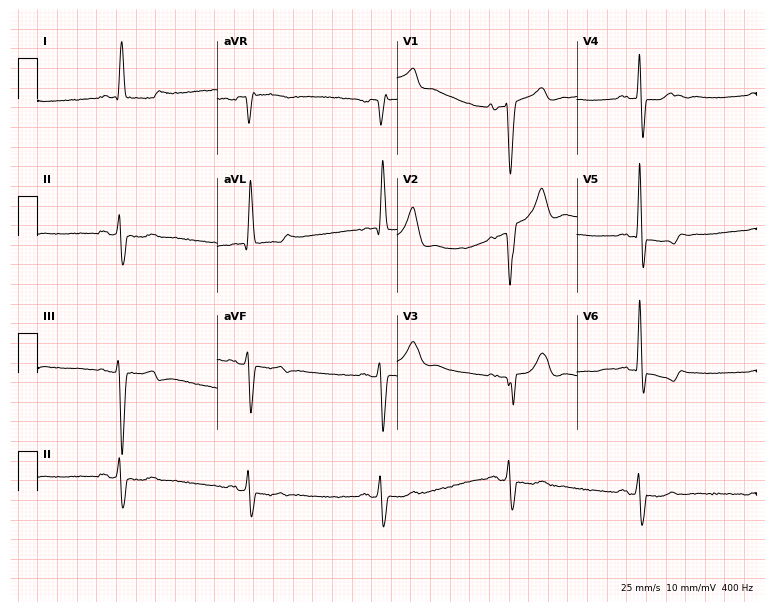
12-lead ECG from an 85-year-old male patient. No first-degree AV block, right bundle branch block (RBBB), left bundle branch block (LBBB), sinus bradycardia, atrial fibrillation (AF) or sinus tachycardia recorded for this tracing. Findings outside these six are not listed.